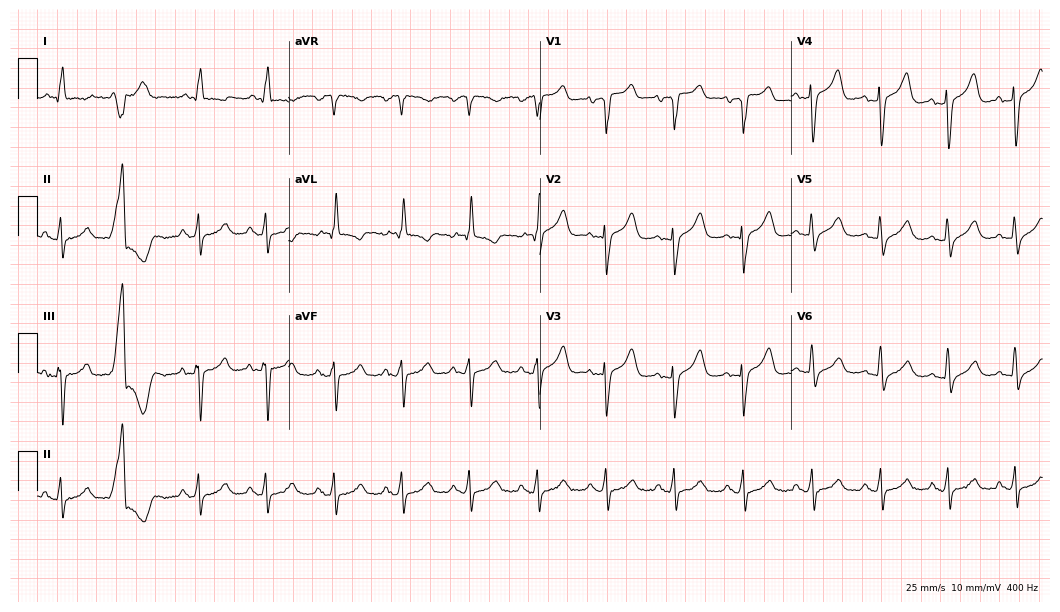
Standard 12-lead ECG recorded from a male, 69 years old. None of these six findings is recorded: first-degree AV block, right bundle branch block (RBBB), left bundle branch block (LBBB), sinus bradycardia, atrial fibrillation (AF), sinus tachycardia.